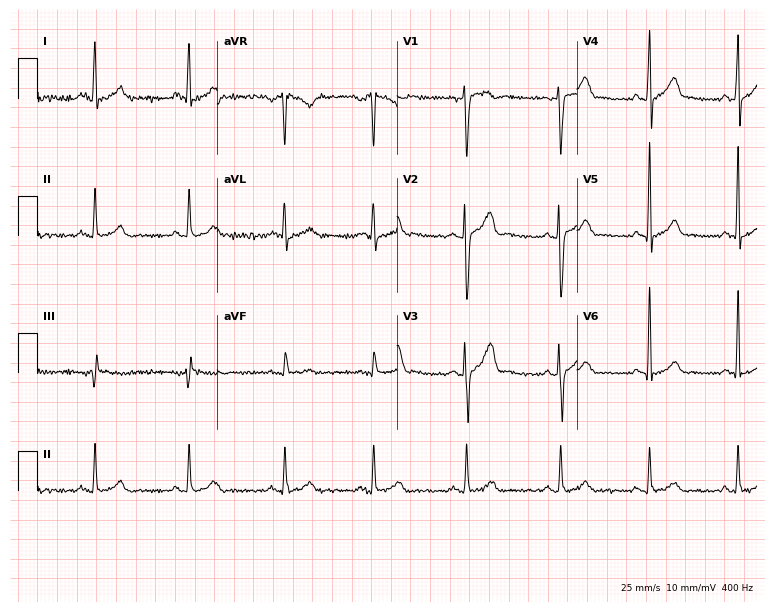
12-lead ECG from a man, 35 years old (7.3-second recording at 400 Hz). Recorded interpretation: within normal limits.